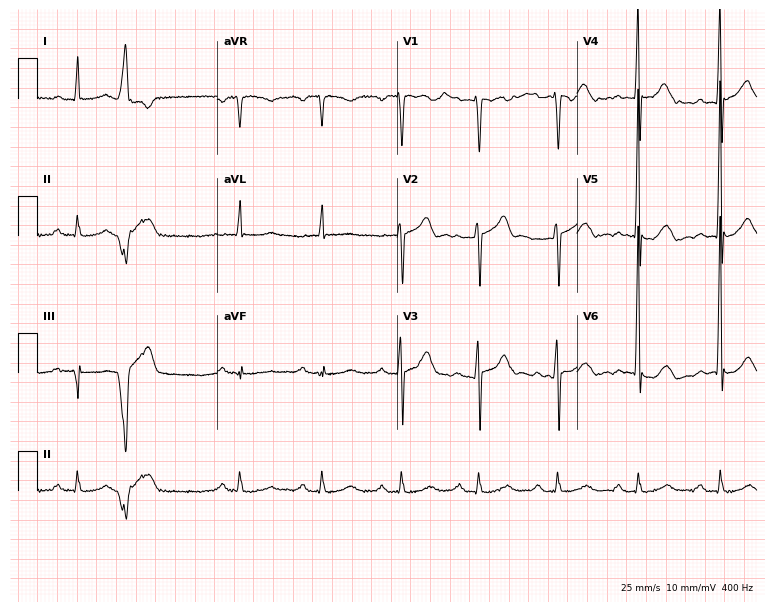
Resting 12-lead electrocardiogram. Patient: a 55-year-old male. The tracing shows first-degree AV block.